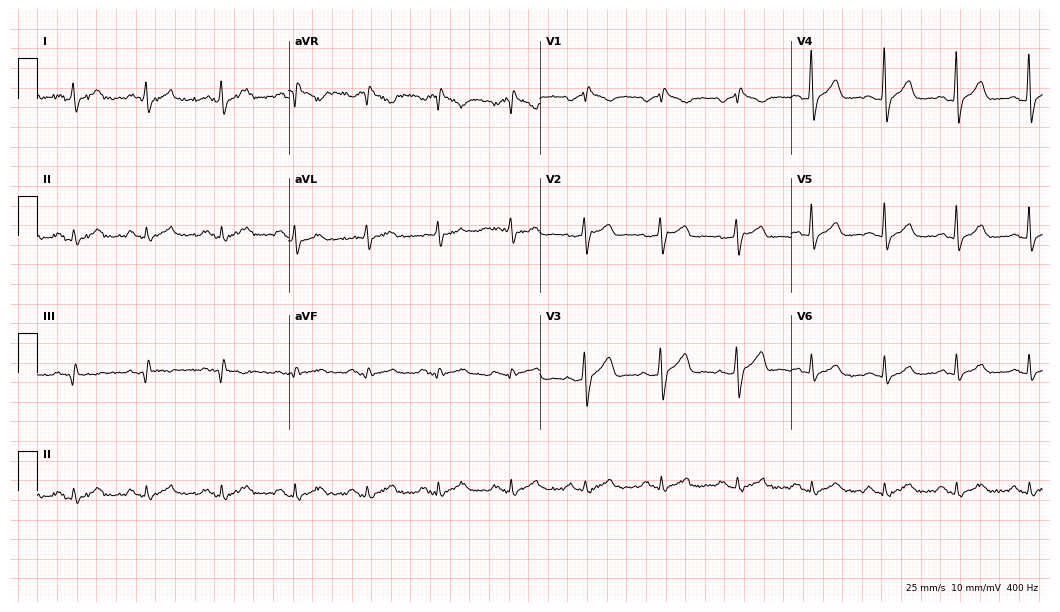
ECG — a 58-year-old male. Labelled as a normal ECG.